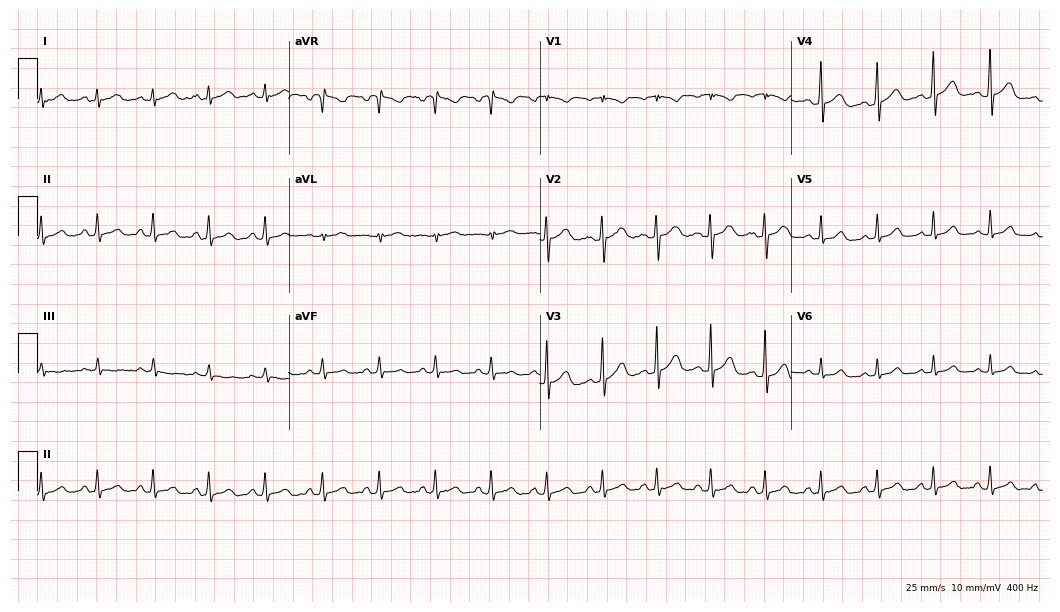
ECG — a 20-year-old female patient. Findings include sinus tachycardia (a sinus rate of 100 beats per minute or more).